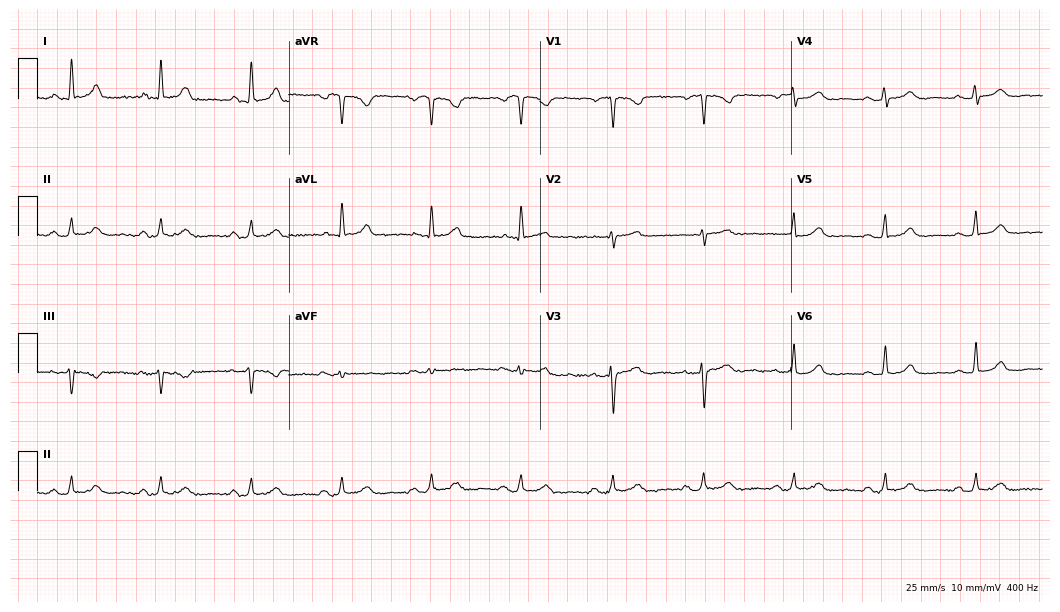
Resting 12-lead electrocardiogram. Patient: a 60-year-old female. None of these six findings is recorded: first-degree AV block, right bundle branch block, left bundle branch block, sinus bradycardia, atrial fibrillation, sinus tachycardia.